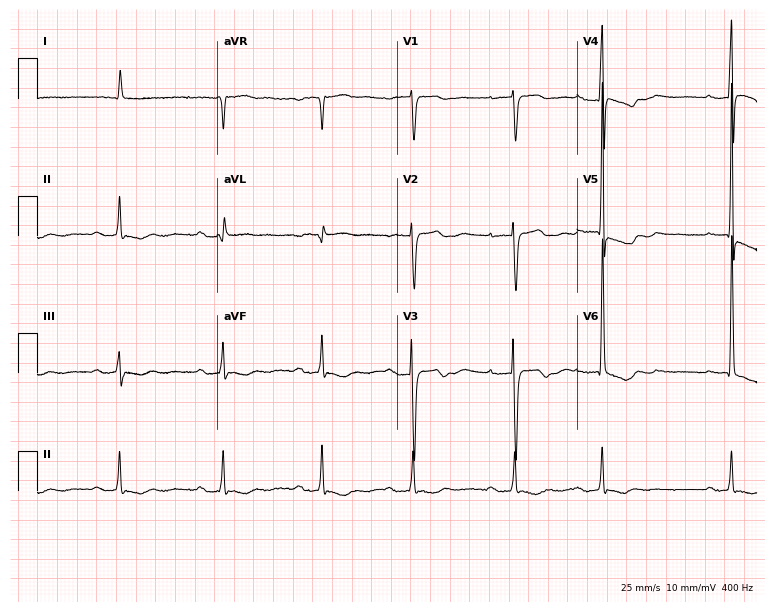
12-lead ECG (7.3-second recording at 400 Hz) from a 79-year-old woman. Findings include first-degree AV block.